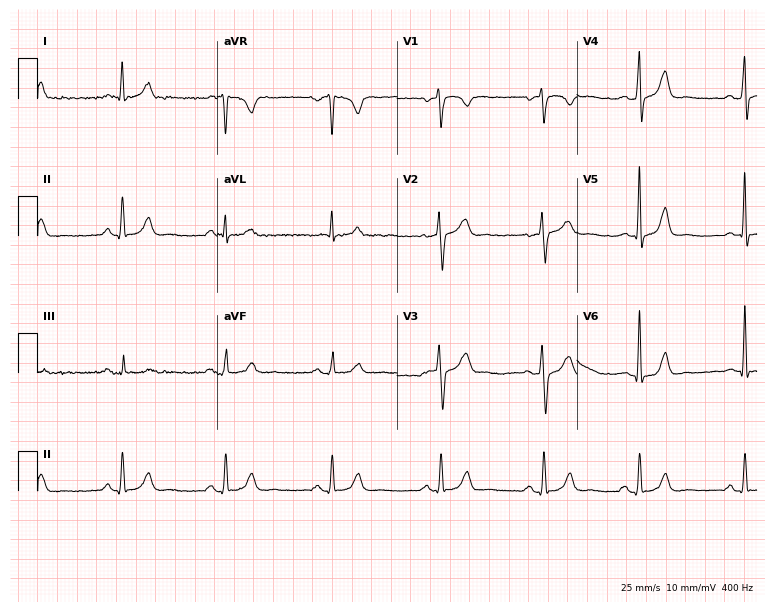
ECG (7.3-second recording at 400 Hz) — a male, 54 years old. Labelled as a normal ECG.